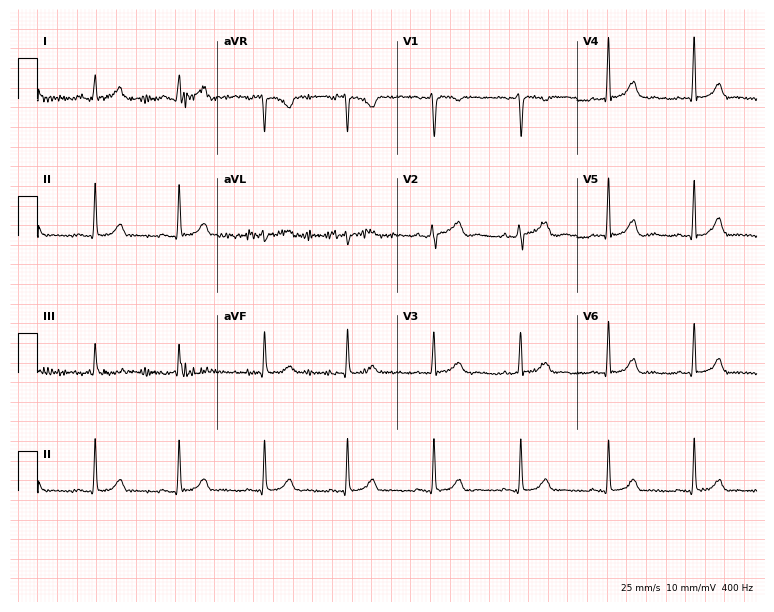
12-lead ECG from a 45-year-old female patient. Recorded interpretation: within normal limits.